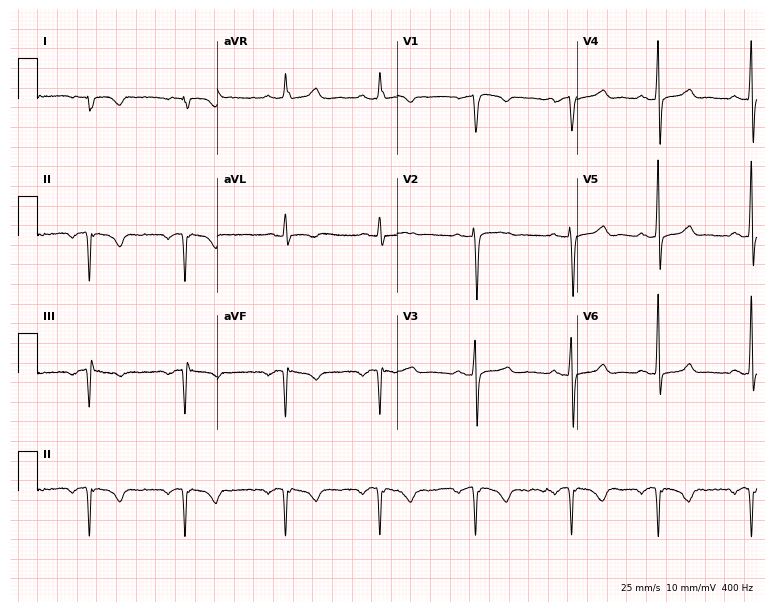
Resting 12-lead electrocardiogram. Patient: a male, 55 years old. None of these six findings is recorded: first-degree AV block, right bundle branch block, left bundle branch block, sinus bradycardia, atrial fibrillation, sinus tachycardia.